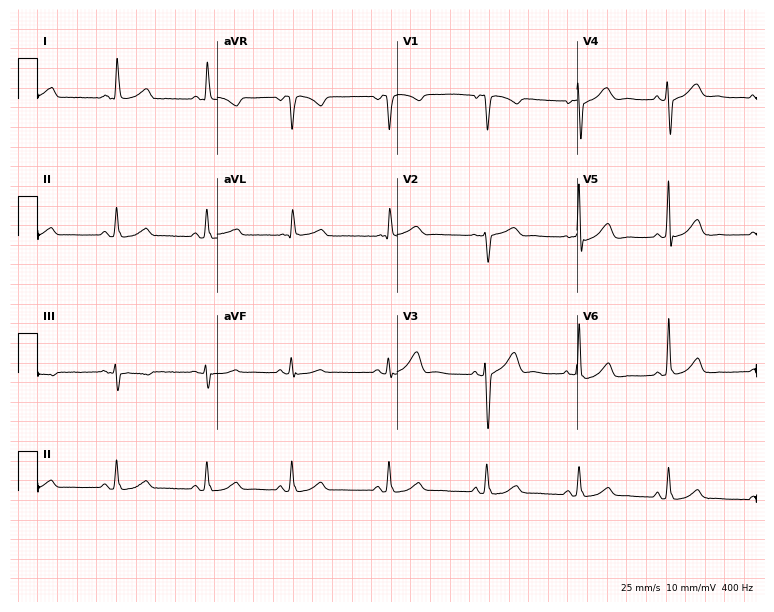
ECG — a female patient, 74 years old. Screened for six findings — first-degree AV block, right bundle branch block (RBBB), left bundle branch block (LBBB), sinus bradycardia, atrial fibrillation (AF), sinus tachycardia — none is recorded.